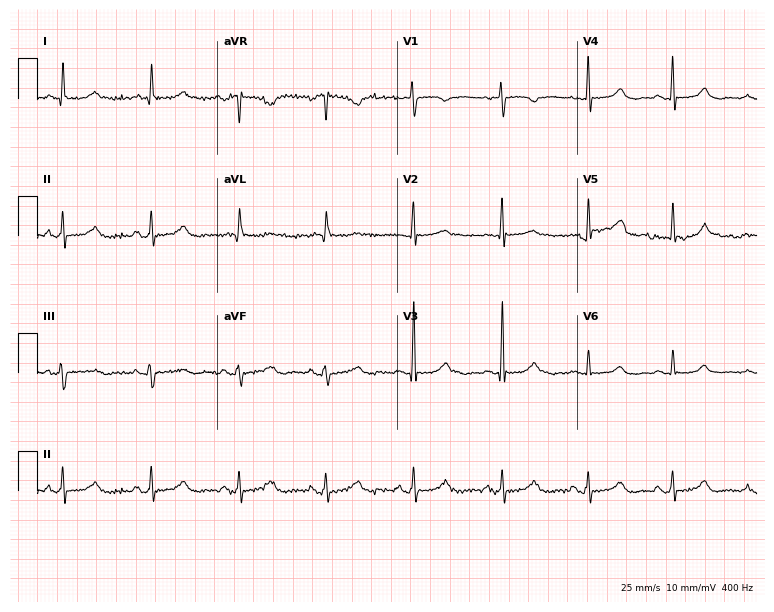
12-lead ECG from a female, 66 years old (7.3-second recording at 400 Hz). No first-degree AV block, right bundle branch block, left bundle branch block, sinus bradycardia, atrial fibrillation or sinus tachycardia recorded for this tracing.